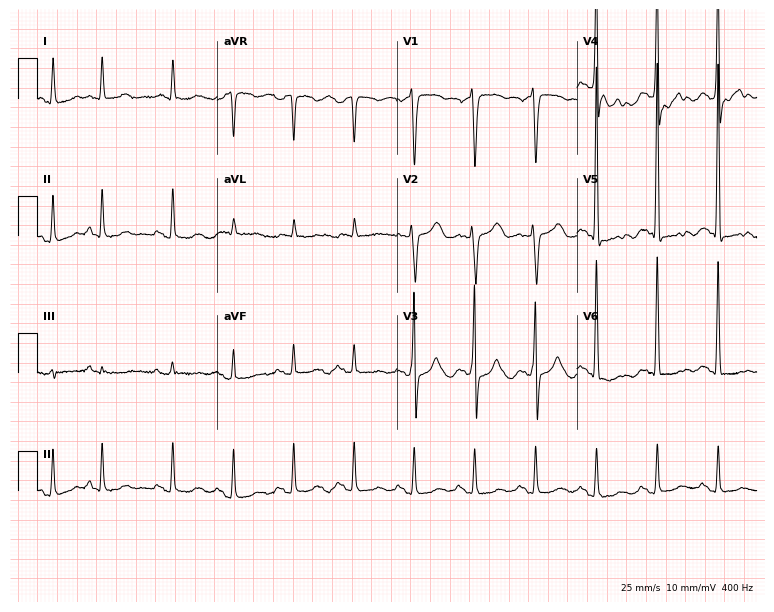
Electrocardiogram (7.3-second recording at 400 Hz), a man, 60 years old. Of the six screened findings (first-degree AV block, right bundle branch block, left bundle branch block, sinus bradycardia, atrial fibrillation, sinus tachycardia), none is recorded. Only these six findings were labelled.